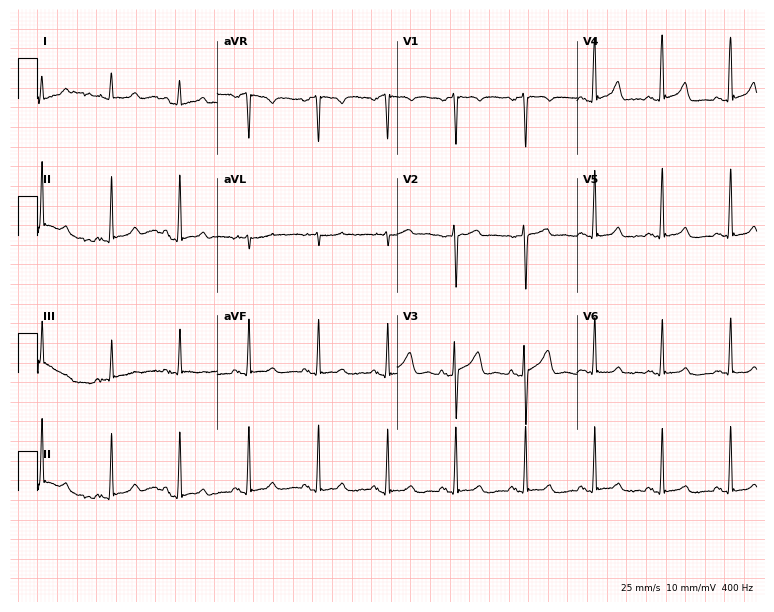
Electrocardiogram (7.3-second recording at 400 Hz), a 60-year-old female. Overall reading on record: normal ECG.